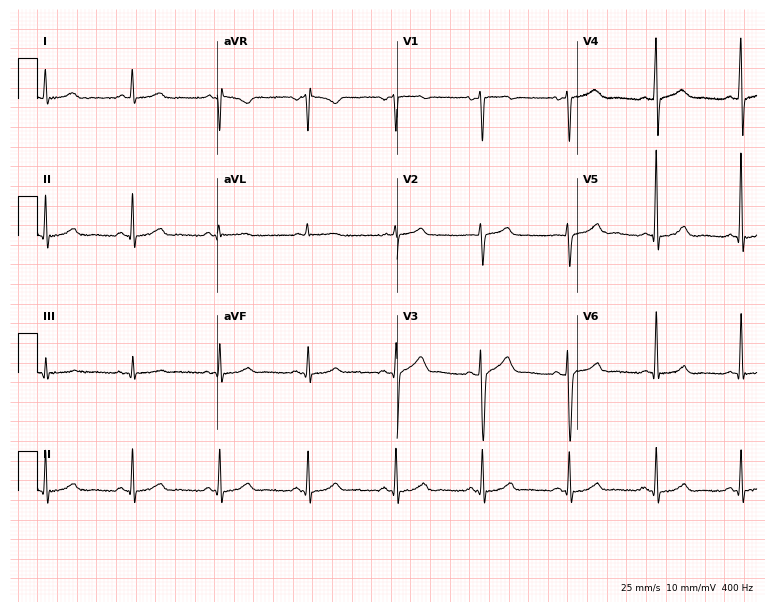
12-lead ECG from a male, 55 years old. Recorded interpretation: within normal limits.